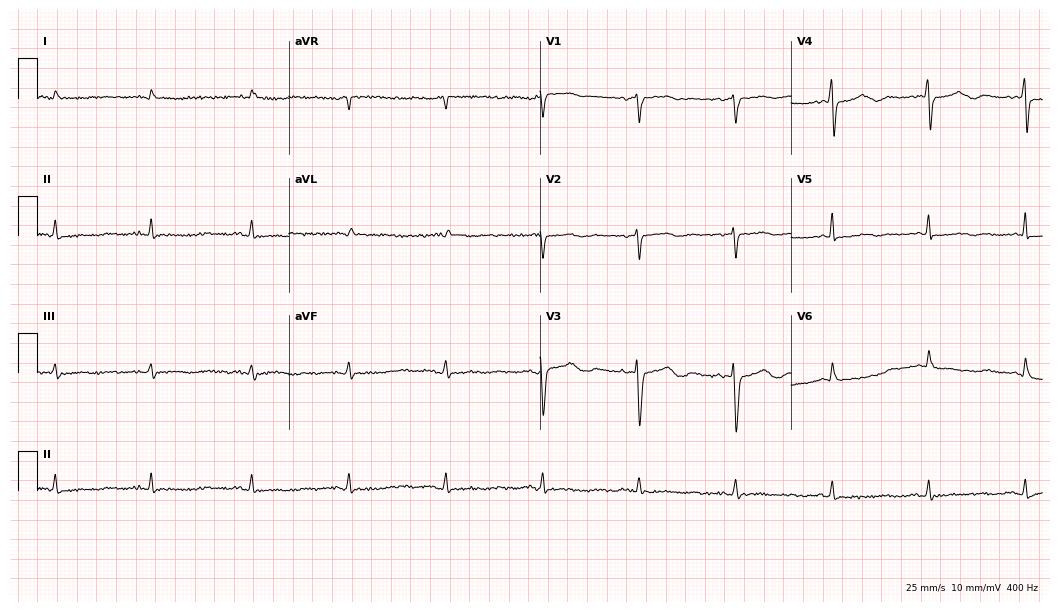
Standard 12-lead ECG recorded from a male, 78 years old. None of these six findings is recorded: first-degree AV block, right bundle branch block, left bundle branch block, sinus bradycardia, atrial fibrillation, sinus tachycardia.